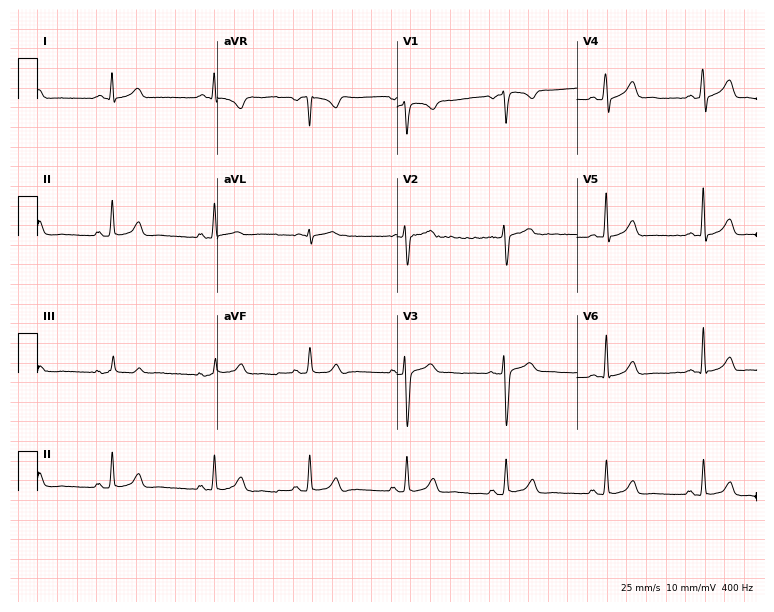
Standard 12-lead ECG recorded from a female, 47 years old (7.3-second recording at 400 Hz). None of these six findings is recorded: first-degree AV block, right bundle branch block, left bundle branch block, sinus bradycardia, atrial fibrillation, sinus tachycardia.